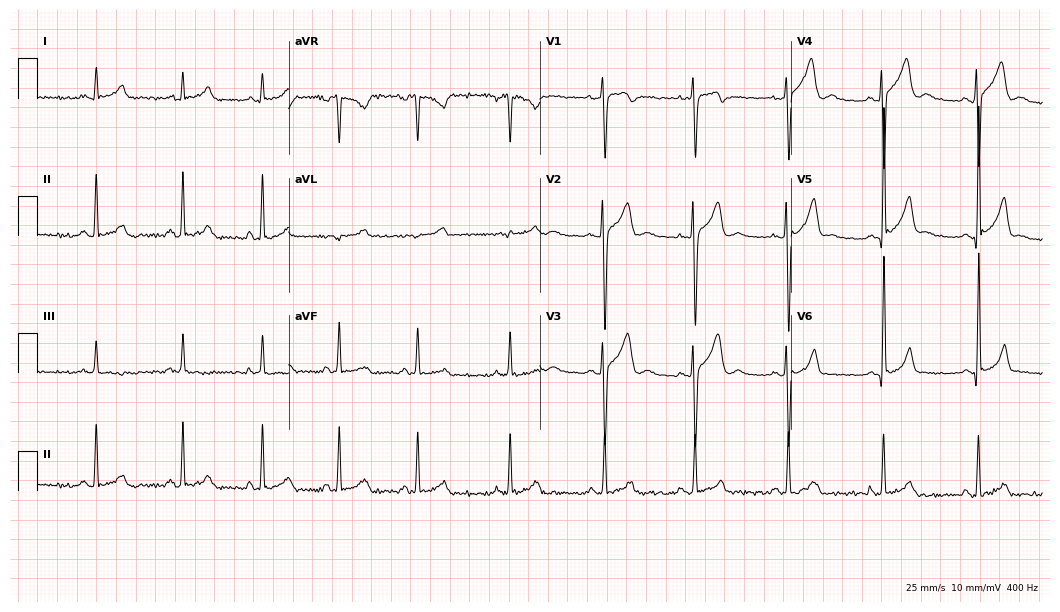
Standard 12-lead ECG recorded from a man, 25 years old (10.2-second recording at 400 Hz). None of these six findings is recorded: first-degree AV block, right bundle branch block, left bundle branch block, sinus bradycardia, atrial fibrillation, sinus tachycardia.